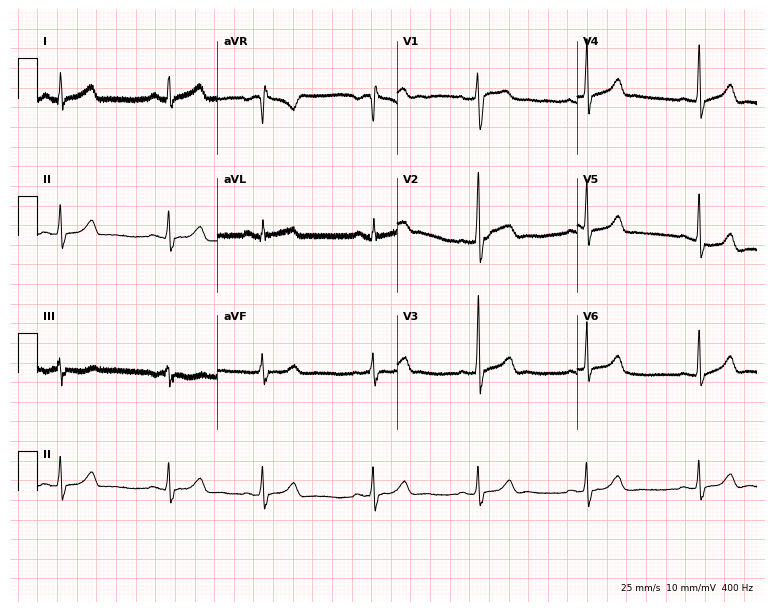
ECG (7.3-second recording at 400 Hz) — a 28-year-old male patient. Labelled as a normal ECG.